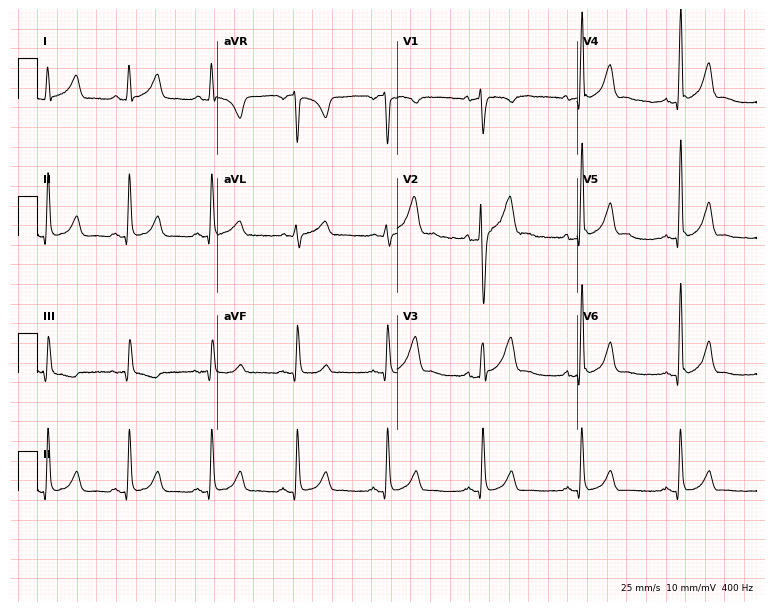
12-lead ECG from a male patient, 38 years old. Labelled as a normal ECG.